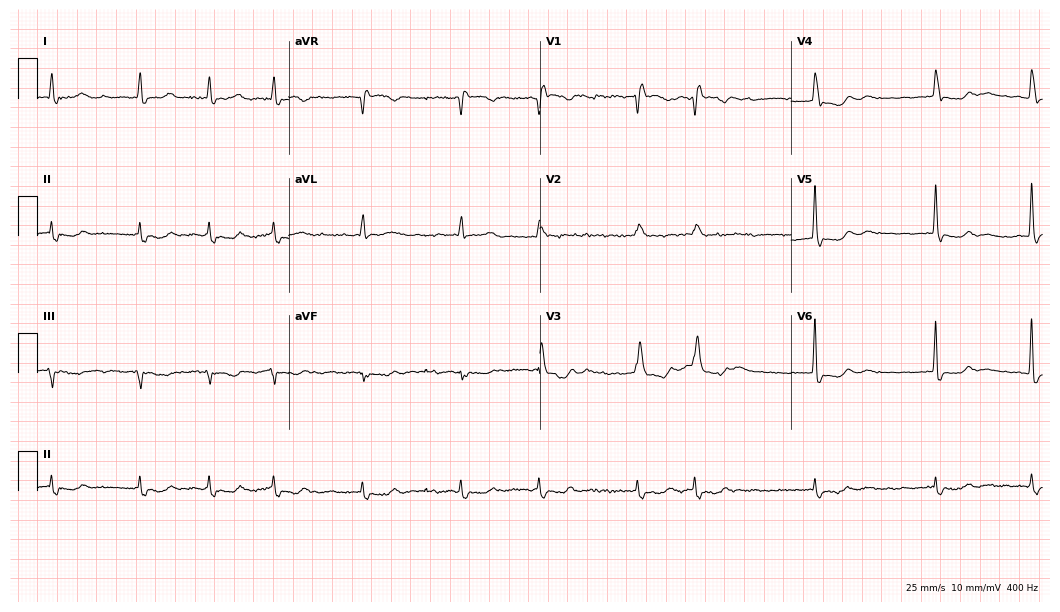
12-lead ECG from an 81-year-old woman (10.2-second recording at 400 Hz). Shows right bundle branch block, atrial fibrillation.